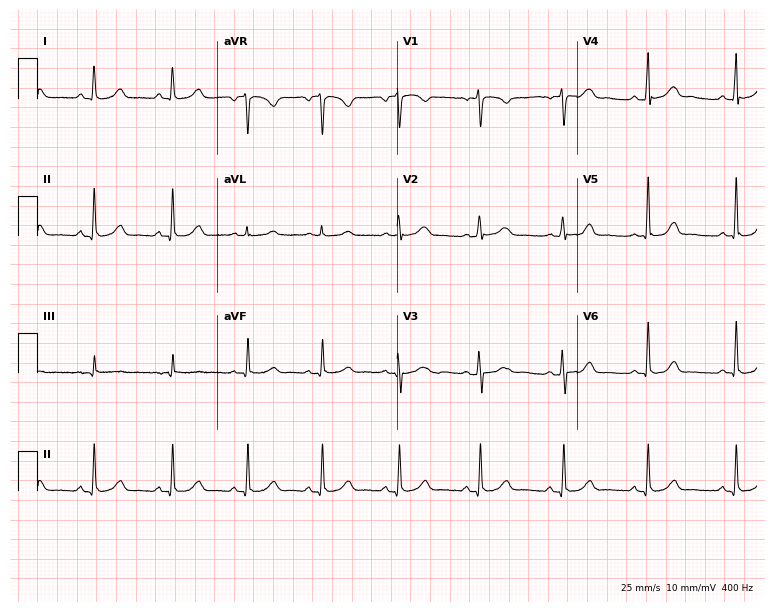
Standard 12-lead ECG recorded from a woman, 33 years old (7.3-second recording at 400 Hz). Read as a normal ECG.